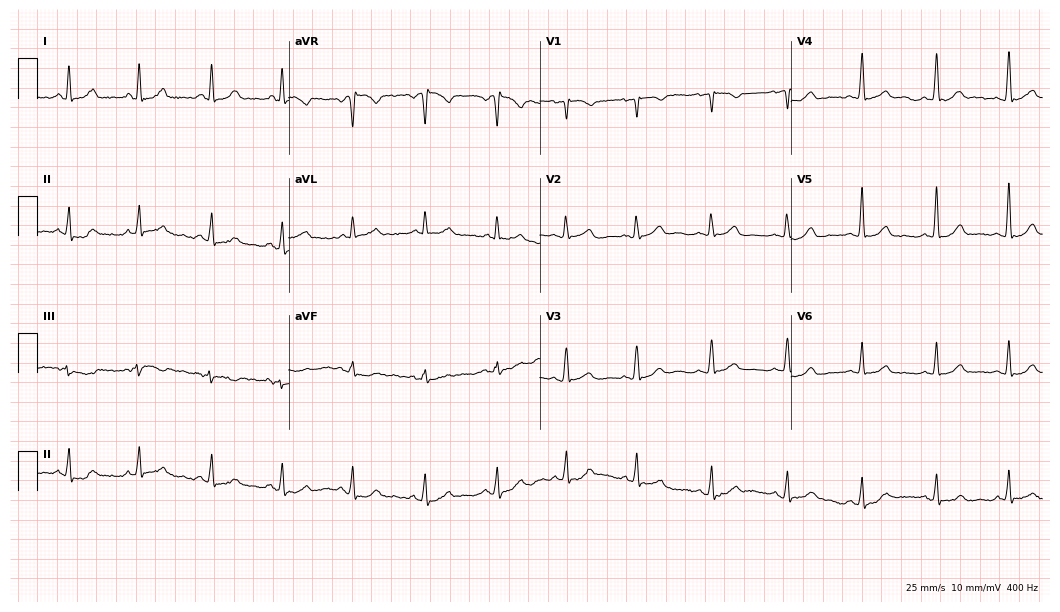
Electrocardiogram (10.2-second recording at 400 Hz), a woman, 44 years old. Overall reading on record: normal ECG.